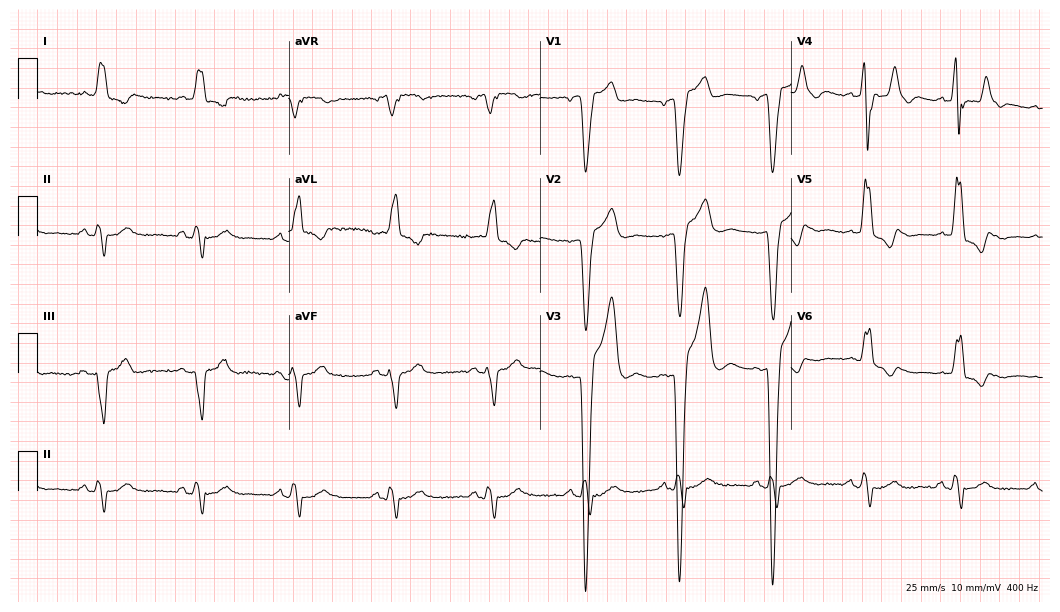
12-lead ECG (10.2-second recording at 400 Hz) from a 59-year-old male patient. Findings include left bundle branch block.